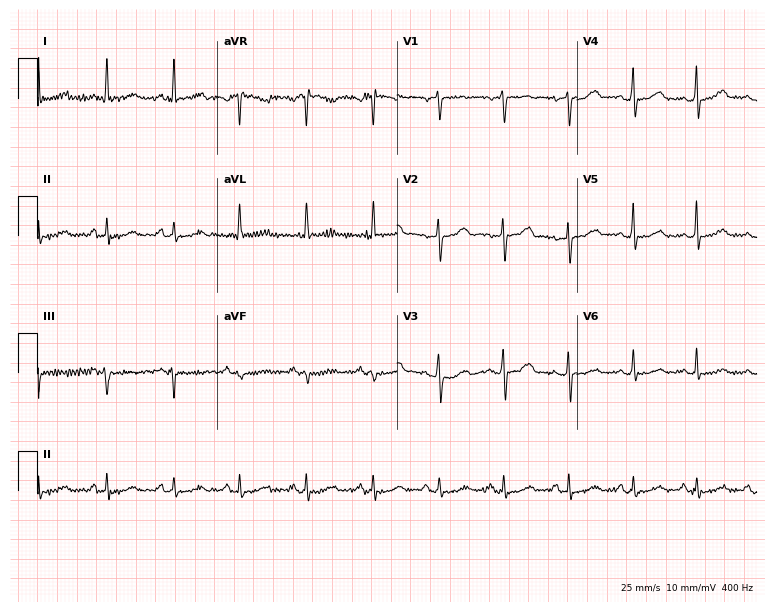
ECG — a 45-year-old female patient. Screened for six findings — first-degree AV block, right bundle branch block, left bundle branch block, sinus bradycardia, atrial fibrillation, sinus tachycardia — none is recorded. Other findings, if any, are not listed.